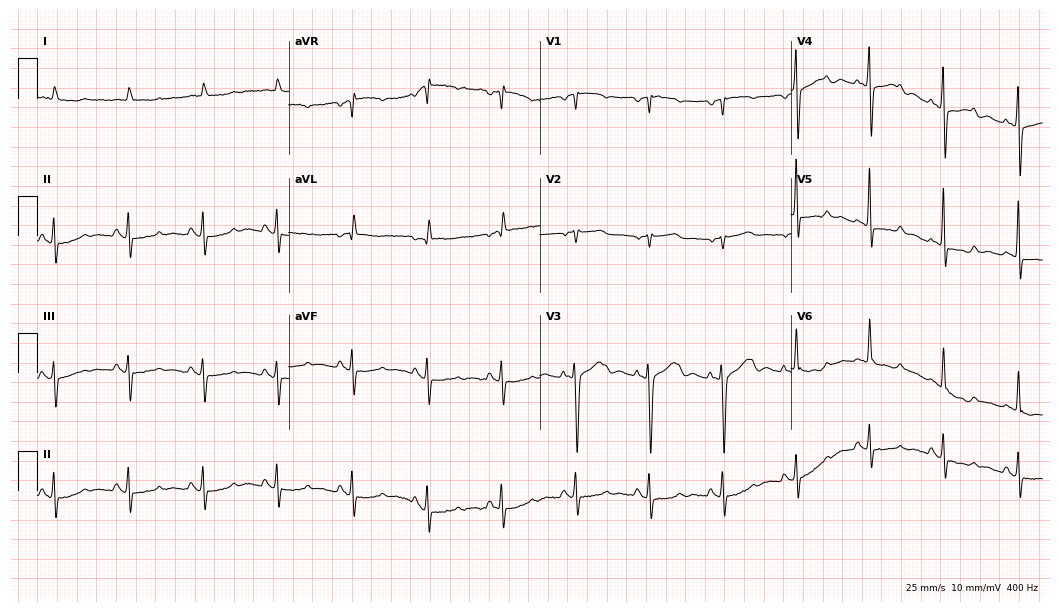
12-lead ECG from a 77-year-old female patient (10.2-second recording at 400 Hz). No first-degree AV block, right bundle branch block, left bundle branch block, sinus bradycardia, atrial fibrillation or sinus tachycardia recorded for this tracing. Only these six findings were labelled.